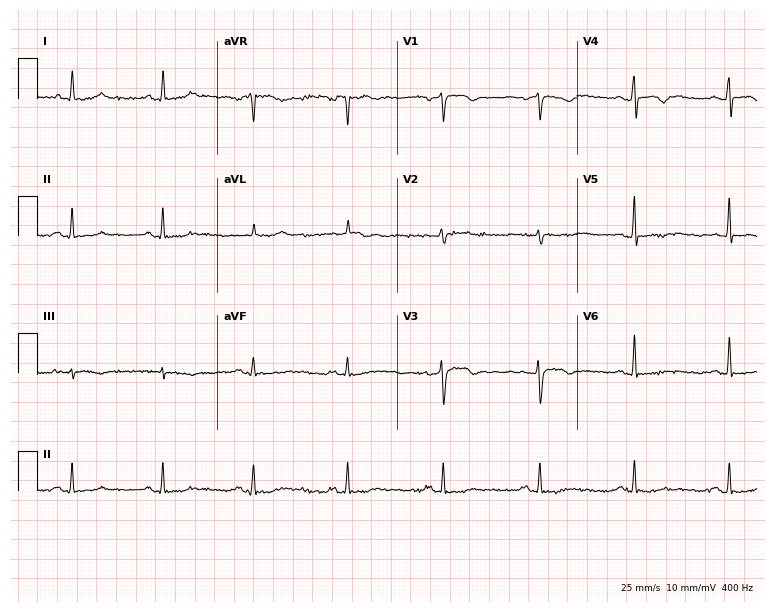
Standard 12-lead ECG recorded from a woman, 53 years old (7.3-second recording at 400 Hz). None of these six findings is recorded: first-degree AV block, right bundle branch block, left bundle branch block, sinus bradycardia, atrial fibrillation, sinus tachycardia.